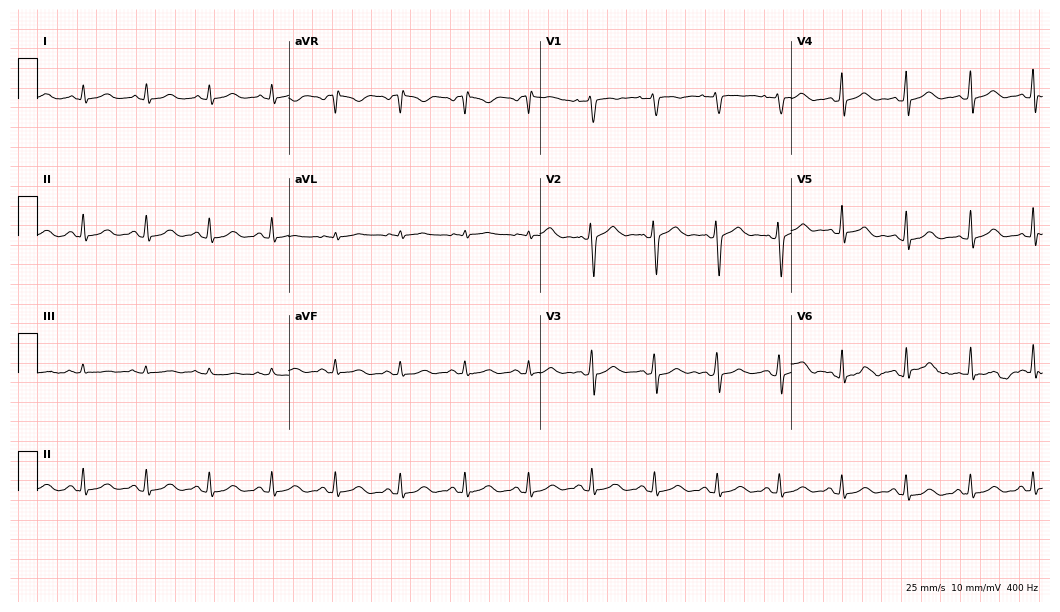
Resting 12-lead electrocardiogram. Patient: a female, 32 years old. Read as a normal ECG.